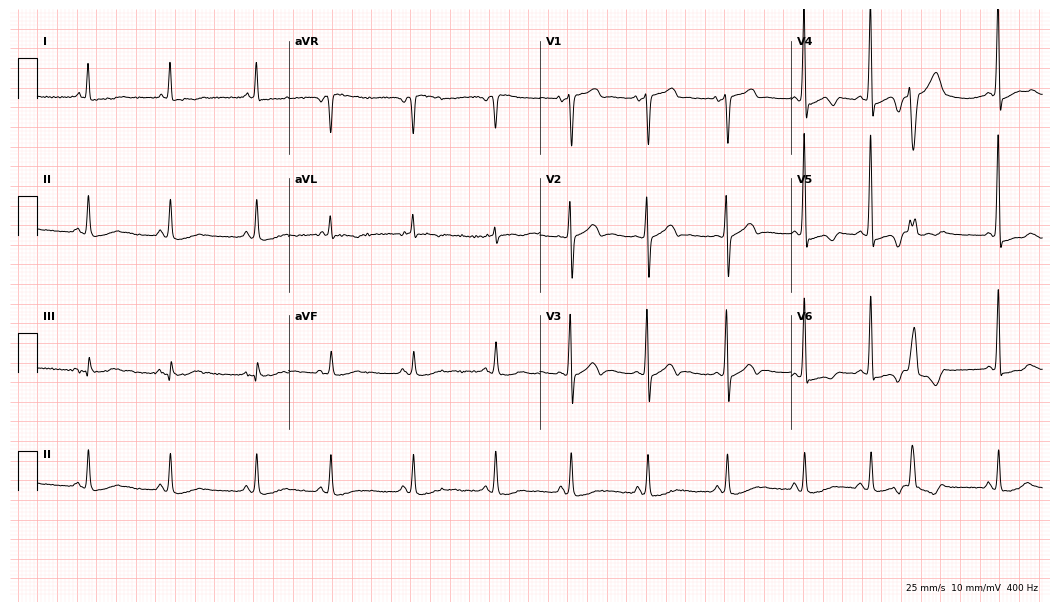
Resting 12-lead electrocardiogram (10.2-second recording at 400 Hz). Patient: a man, 81 years old. None of these six findings is recorded: first-degree AV block, right bundle branch block, left bundle branch block, sinus bradycardia, atrial fibrillation, sinus tachycardia. Findings outside these six are not listed.